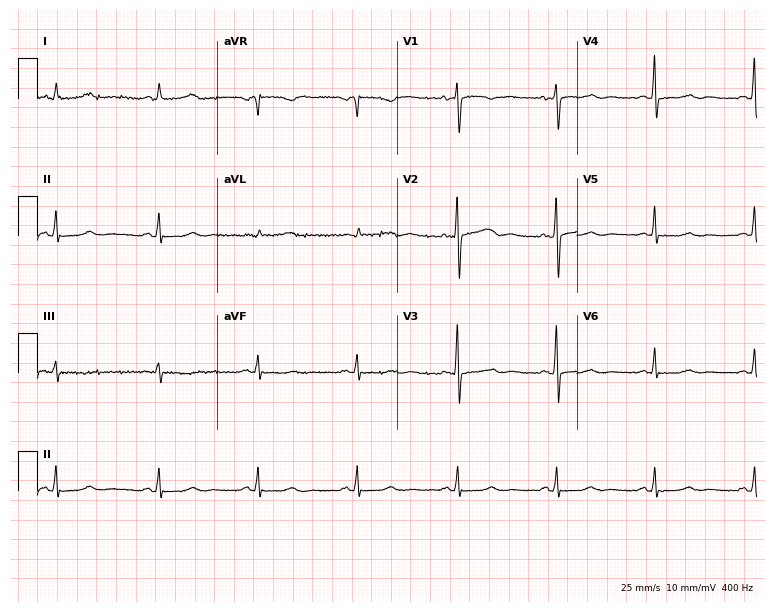
ECG (7.3-second recording at 400 Hz) — a 60-year-old female patient. Labelled as a normal ECG.